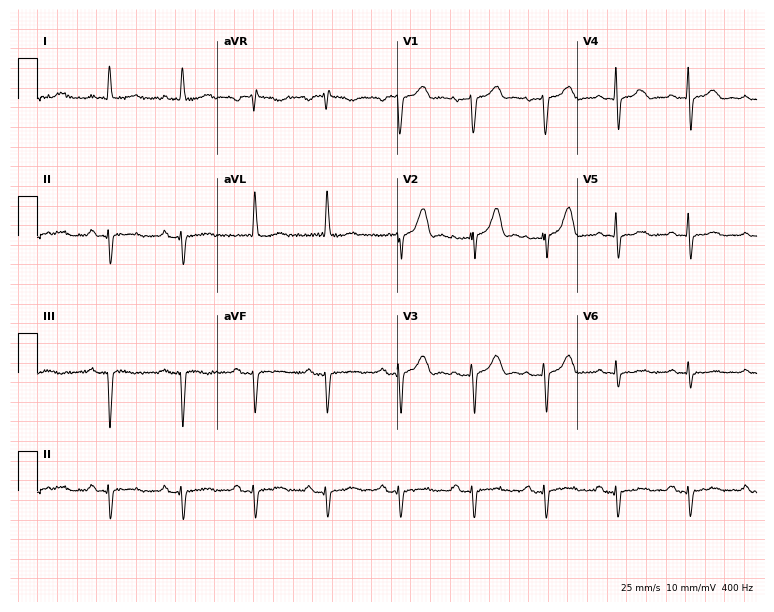
12-lead ECG (7.3-second recording at 400 Hz) from an 85-year-old woman. Screened for six findings — first-degree AV block, right bundle branch block, left bundle branch block, sinus bradycardia, atrial fibrillation, sinus tachycardia — none is recorded.